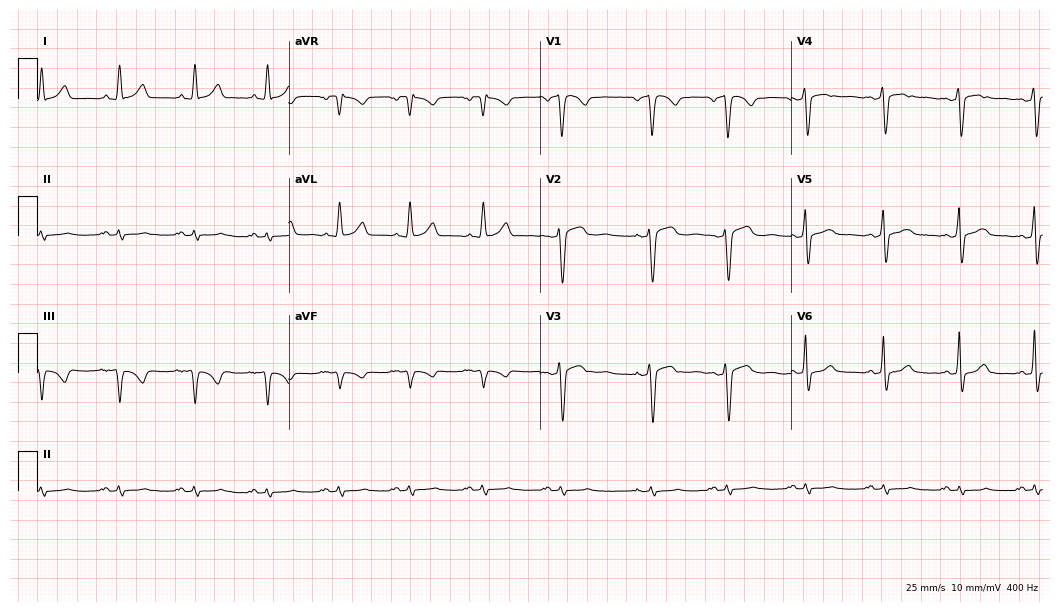
Electrocardiogram (10.2-second recording at 400 Hz), a 53-year-old male. Of the six screened findings (first-degree AV block, right bundle branch block, left bundle branch block, sinus bradycardia, atrial fibrillation, sinus tachycardia), none is recorded. Findings outside these six are not listed.